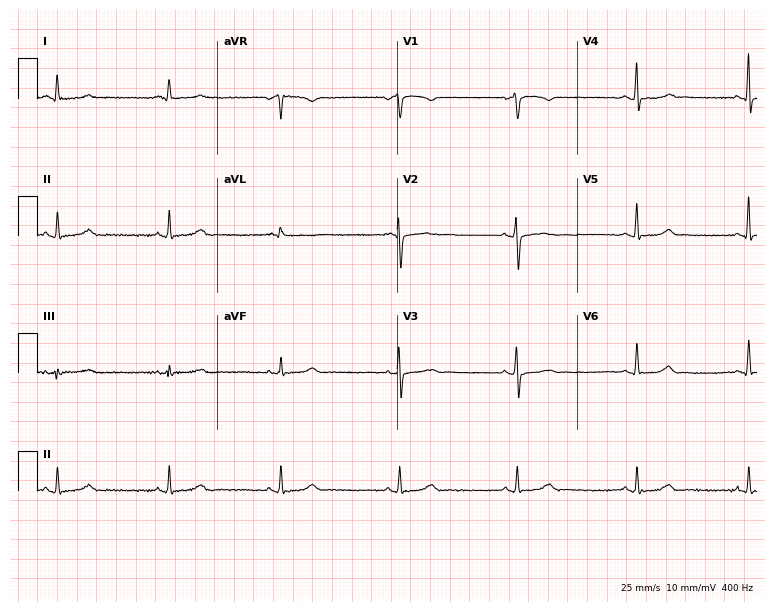
Standard 12-lead ECG recorded from a 39-year-old woman. Read as a normal ECG.